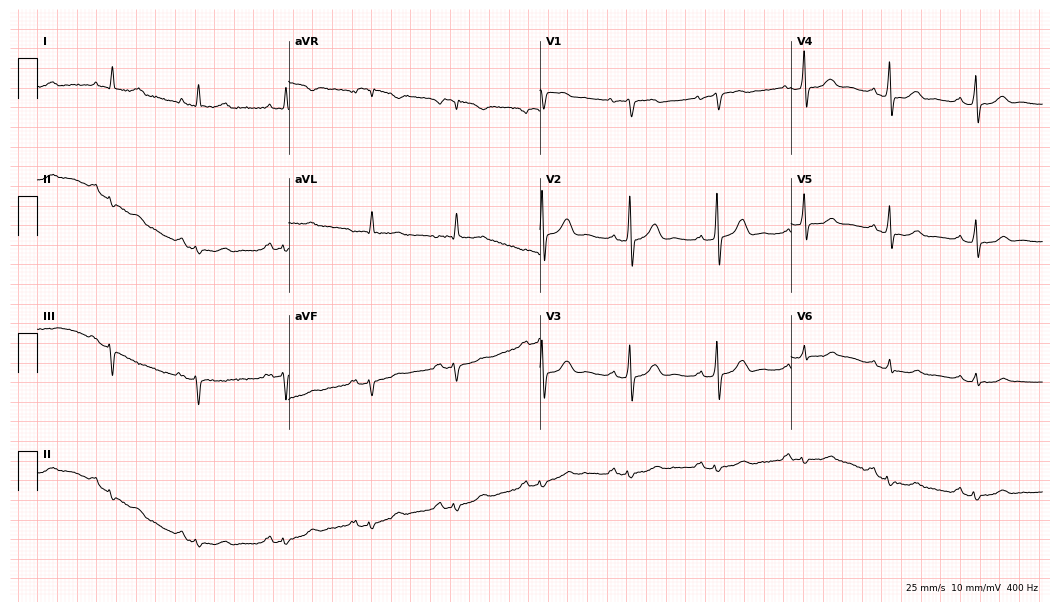
Resting 12-lead electrocardiogram (10.2-second recording at 400 Hz). Patient: a male, 74 years old. None of these six findings is recorded: first-degree AV block, right bundle branch block, left bundle branch block, sinus bradycardia, atrial fibrillation, sinus tachycardia. Other findings, if any, are not listed.